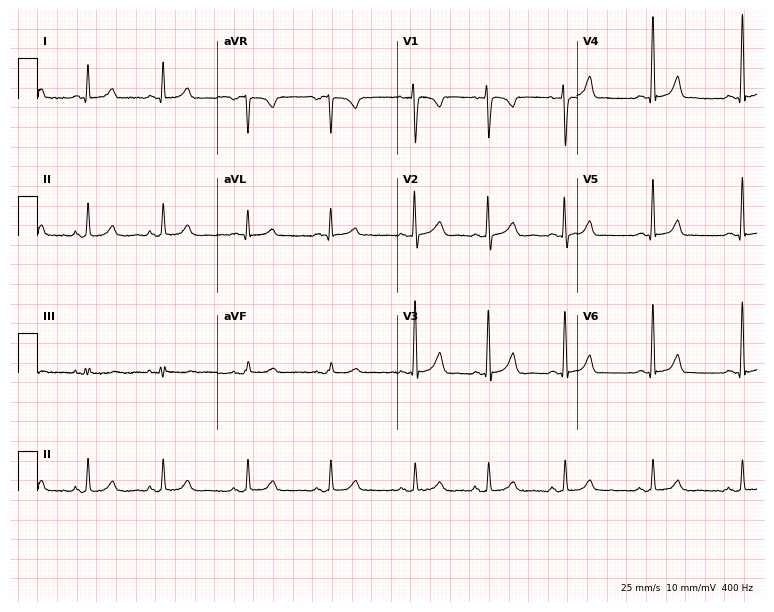
ECG (7.3-second recording at 400 Hz) — a woman, 28 years old. Labelled as a normal ECG.